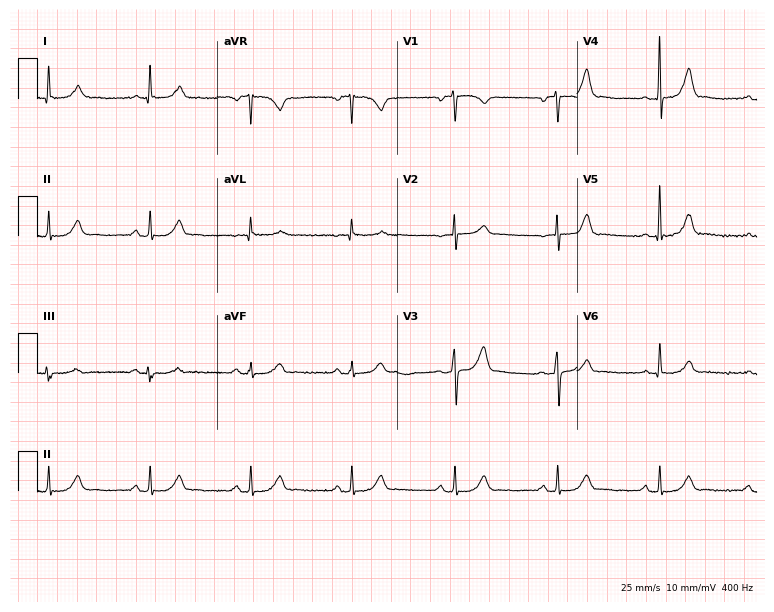
Electrocardiogram, a male patient, 81 years old. Overall reading on record: normal ECG.